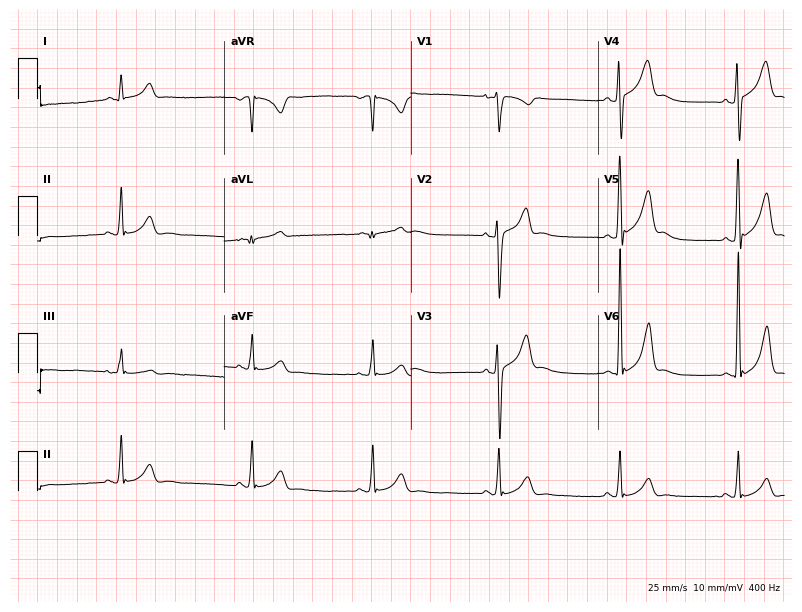
Resting 12-lead electrocardiogram. Patient: an 18-year-old man. None of these six findings is recorded: first-degree AV block, right bundle branch block (RBBB), left bundle branch block (LBBB), sinus bradycardia, atrial fibrillation (AF), sinus tachycardia.